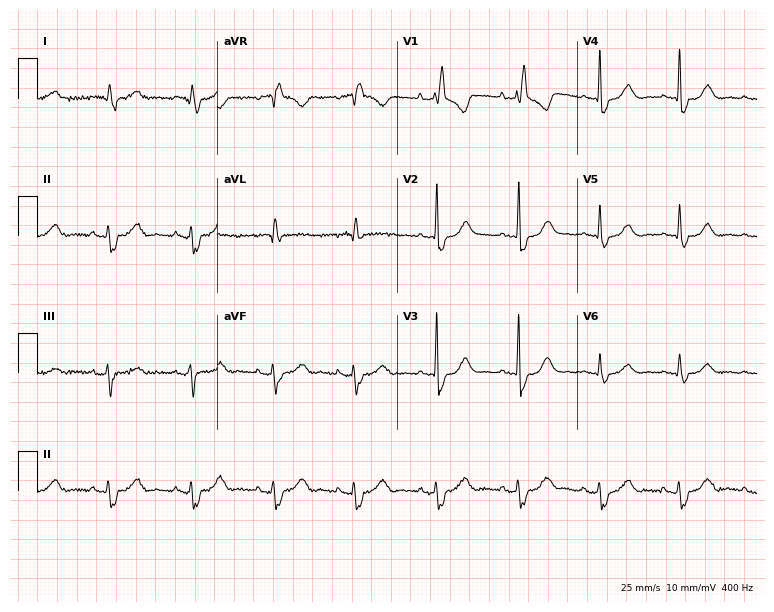
Electrocardiogram, a 75-year-old female. Interpretation includes right bundle branch block.